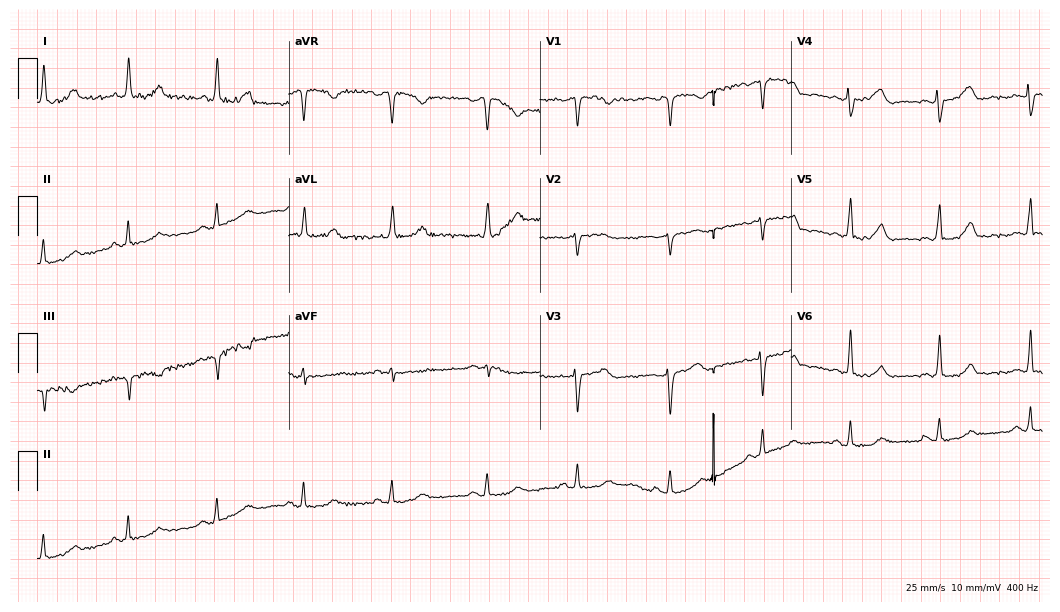
Resting 12-lead electrocardiogram (10.2-second recording at 400 Hz). Patient: a 53-year-old female. None of these six findings is recorded: first-degree AV block, right bundle branch block, left bundle branch block, sinus bradycardia, atrial fibrillation, sinus tachycardia. Other findings, if any, are not listed.